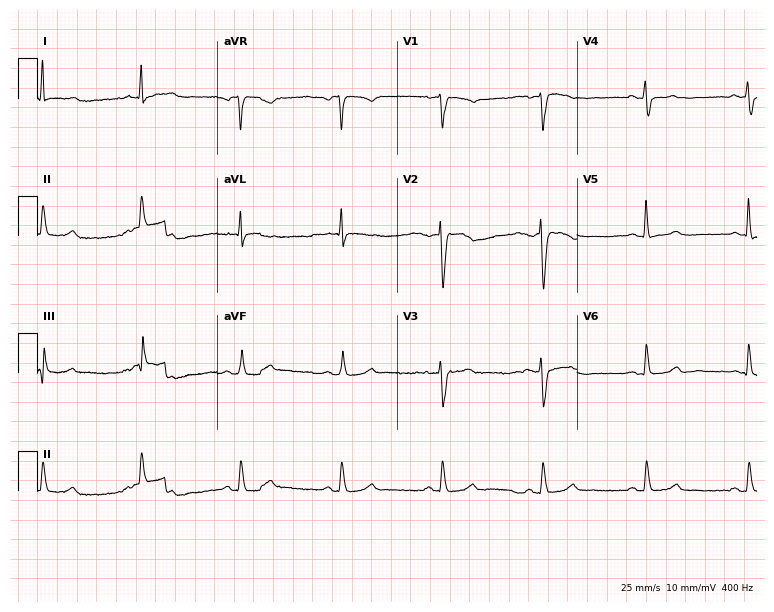
Standard 12-lead ECG recorded from a 74-year-old woman. Read as a normal ECG.